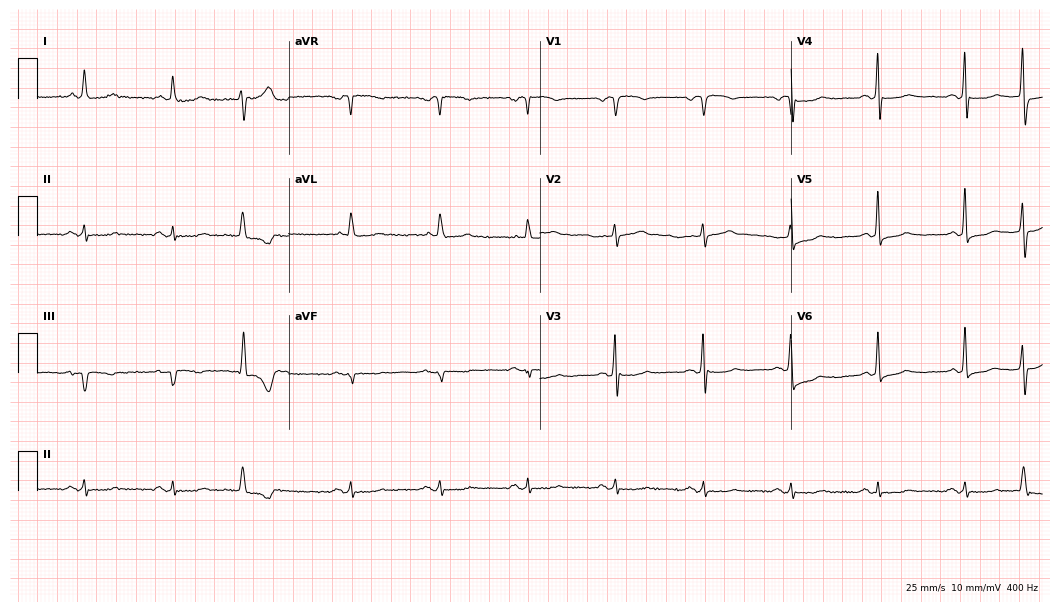
12-lead ECG from a 79-year-old female (10.2-second recording at 400 Hz). No first-degree AV block, right bundle branch block, left bundle branch block, sinus bradycardia, atrial fibrillation or sinus tachycardia recorded for this tracing.